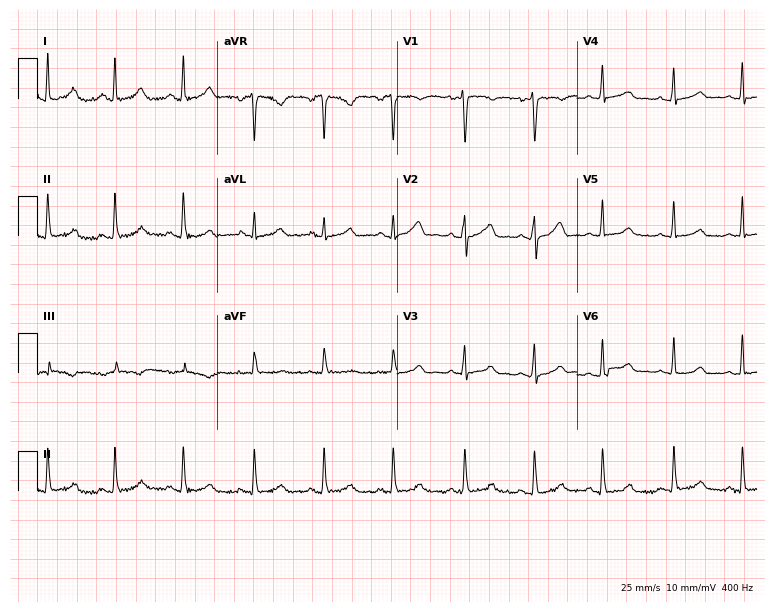
Resting 12-lead electrocardiogram (7.3-second recording at 400 Hz). Patient: a woman, 38 years old. Read as a normal ECG.